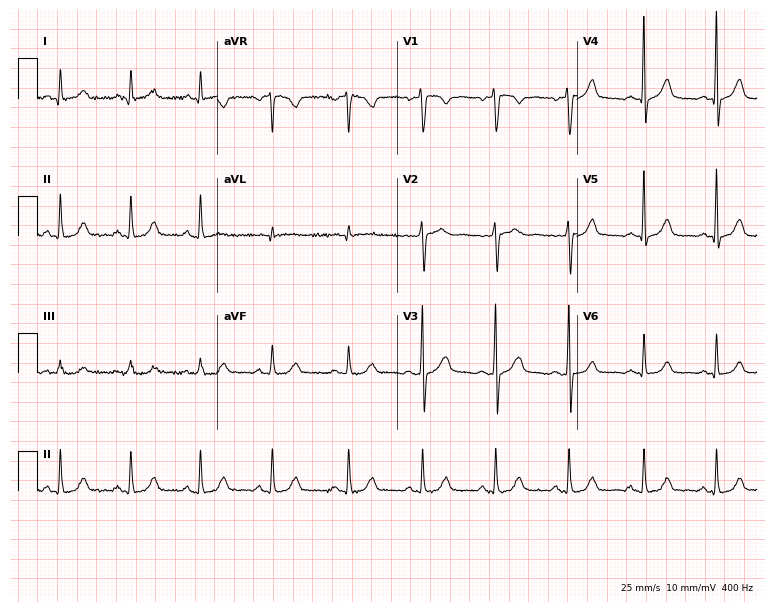
12-lead ECG from a 28-year-old female patient (7.3-second recording at 400 Hz). Recorded interpretation: within normal limits.